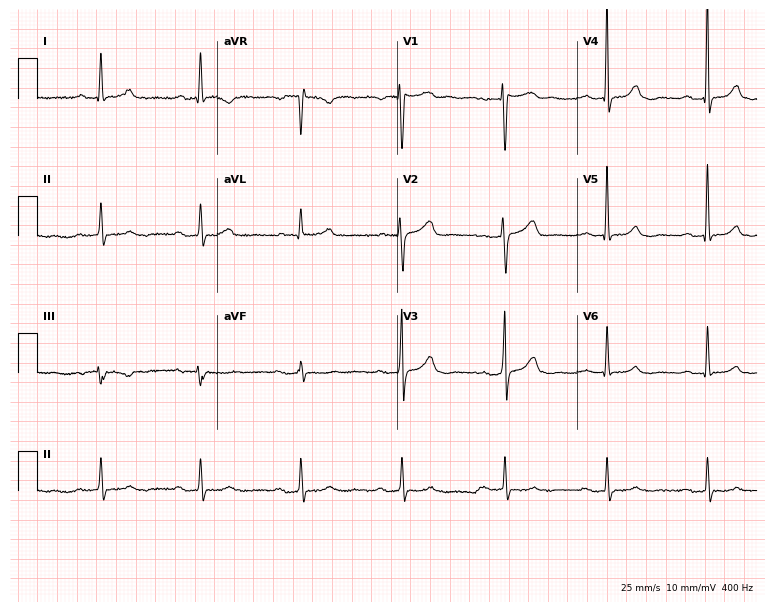
Standard 12-lead ECG recorded from a 63-year-old female patient. The tracing shows first-degree AV block.